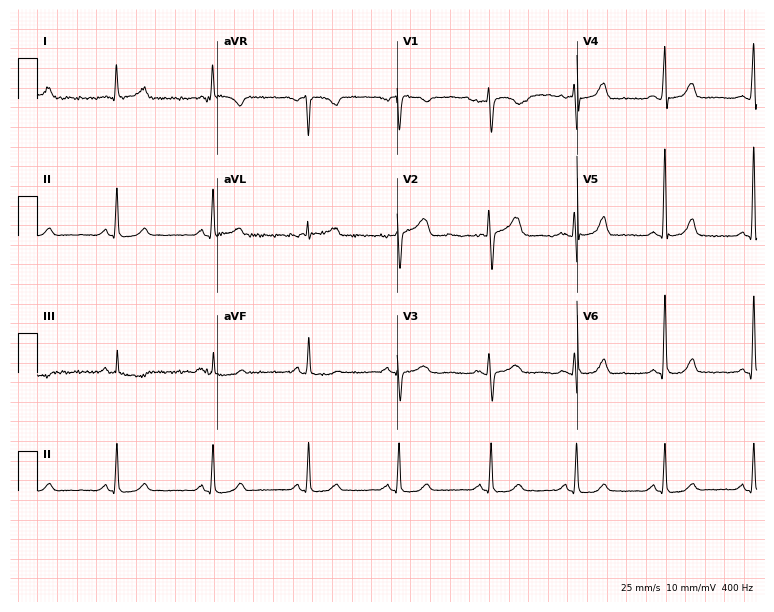
12-lead ECG from a female, 53 years old (7.3-second recording at 400 Hz). No first-degree AV block, right bundle branch block, left bundle branch block, sinus bradycardia, atrial fibrillation or sinus tachycardia recorded for this tracing.